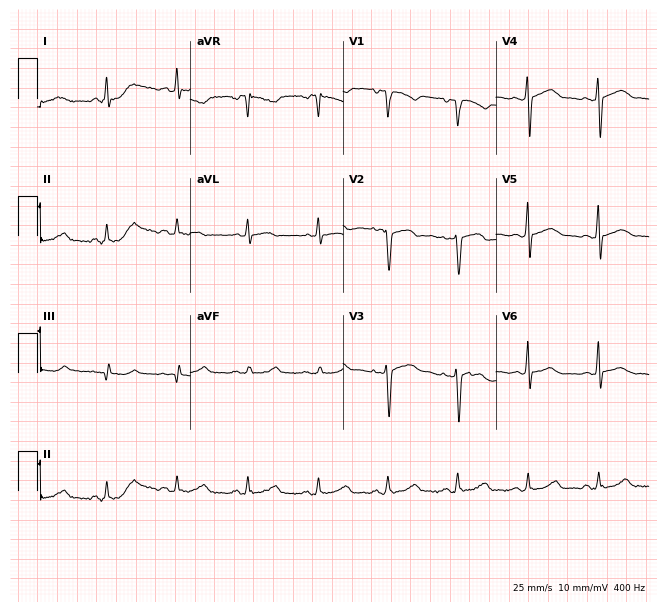
12-lead ECG from a female patient, 62 years old. Recorded interpretation: within normal limits.